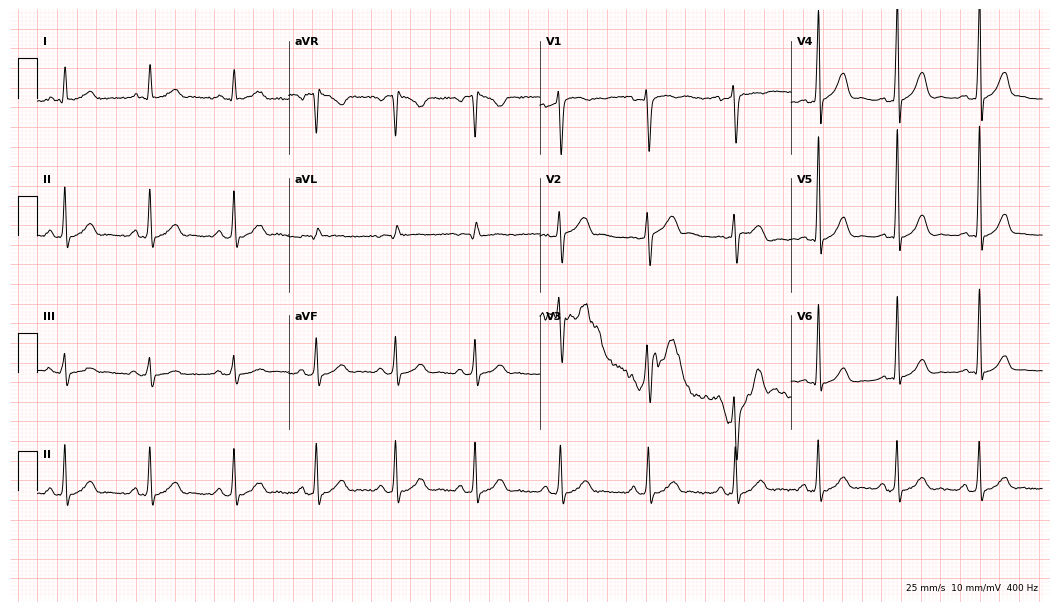
Electrocardiogram (10.2-second recording at 400 Hz), a 52-year-old man. Overall reading on record: normal ECG.